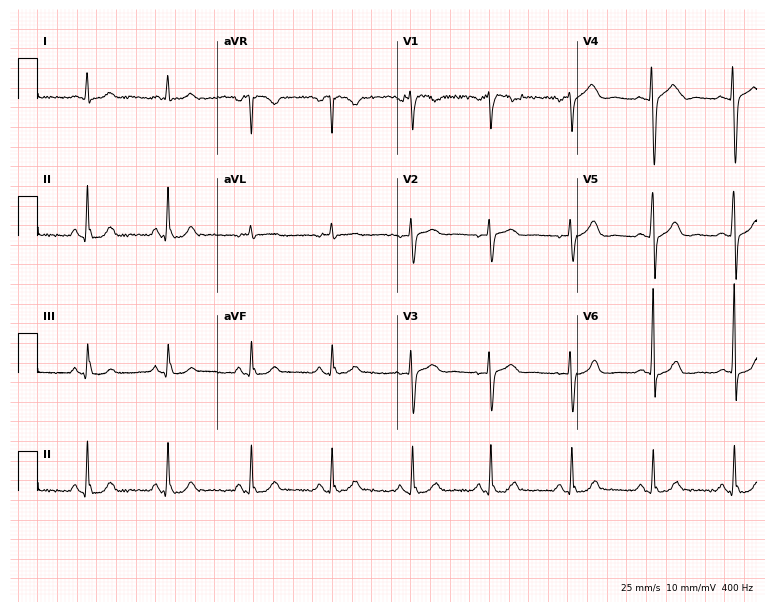
Electrocardiogram, a 60-year-old female patient. Overall reading on record: normal ECG.